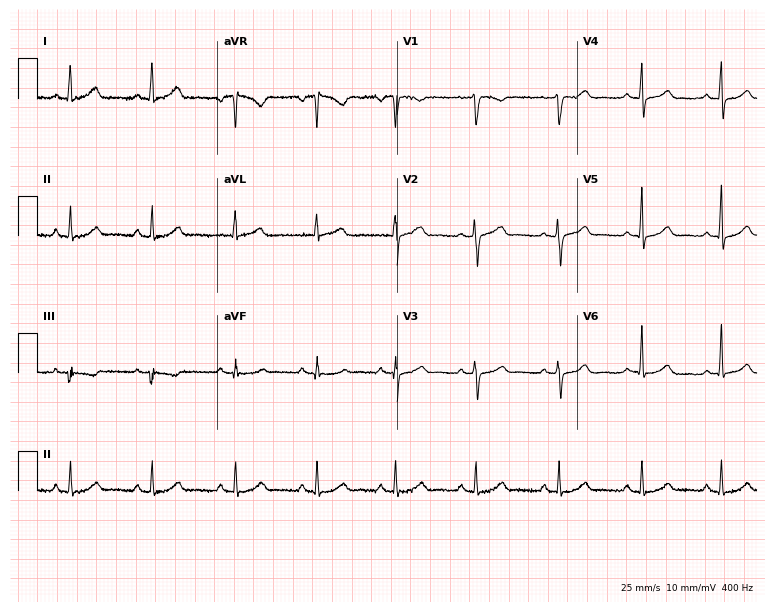
Resting 12-lead electrocardiogram (7.3-second recording at 400 Hz). Patient: a woman, 44 years old. Read as a normal ECG.